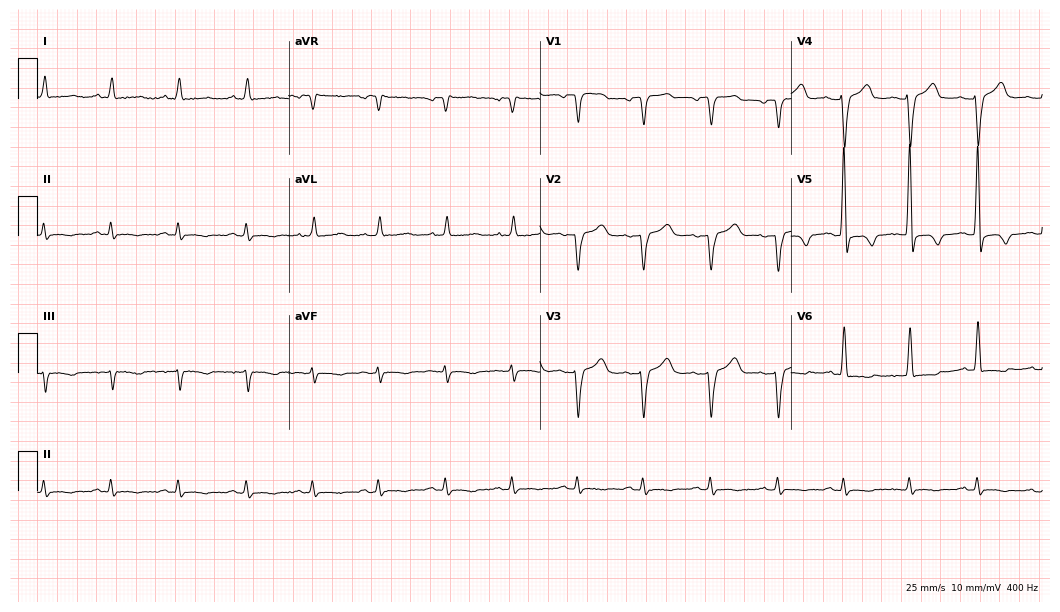
Resting 12-lead electrocardiogram. Patient: an 82-year-old male. None of these six findings is recorded: first-degree AV block, right bundle branch block (RBBB), left bundle branch block (LBBB), sinus bradycardia, atrial fibrillation (AF), sinus tachycardia.